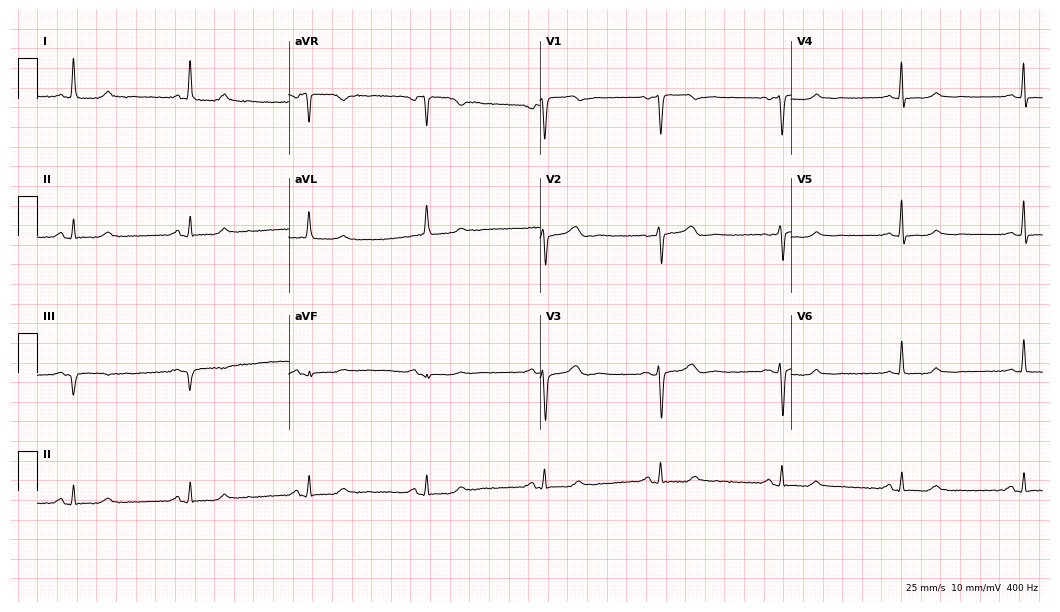
12-lead ECG from a female, 79 years old (10.2-second recording at 400 Hz). No first-degree AV block, right bundle branch block (RBBB), left bundle branch block (LBBB), sinus bradycardia, atrial fibrillation (AF) or sinus tachycardia recorded for this tracing. Only these six findings were labelled.